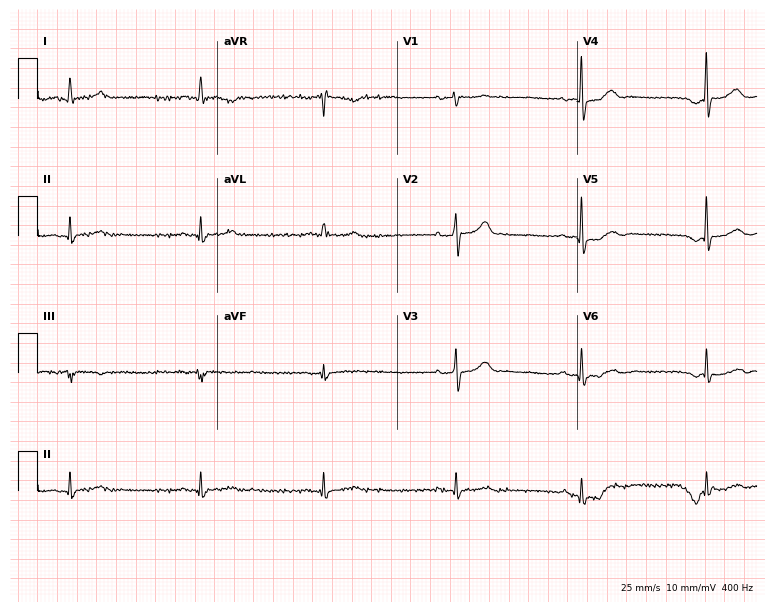
Electrocardiogram, a man, 69 years old. Interpretation includes sinus bradycardia (a sinus rate of 50 beats per minute or less).